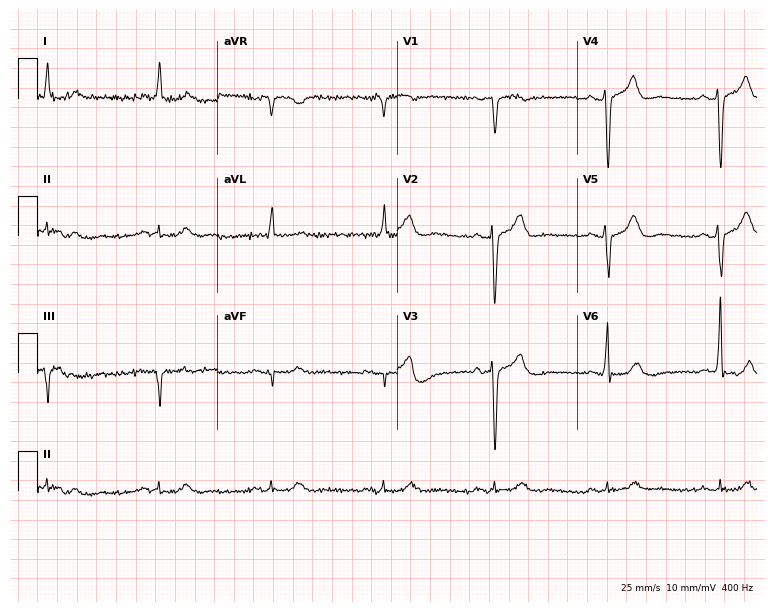
Electrocardiogram (7.3-second recording at 400 Hz), an 85-year-old man. Of the six screened findings (first-degree AV block, right bundle branch block, left bundle branch block, sinus bradycardia, atrial fibrillation, sinus tachycardia), none is recorded. Only these six findings were labelled.